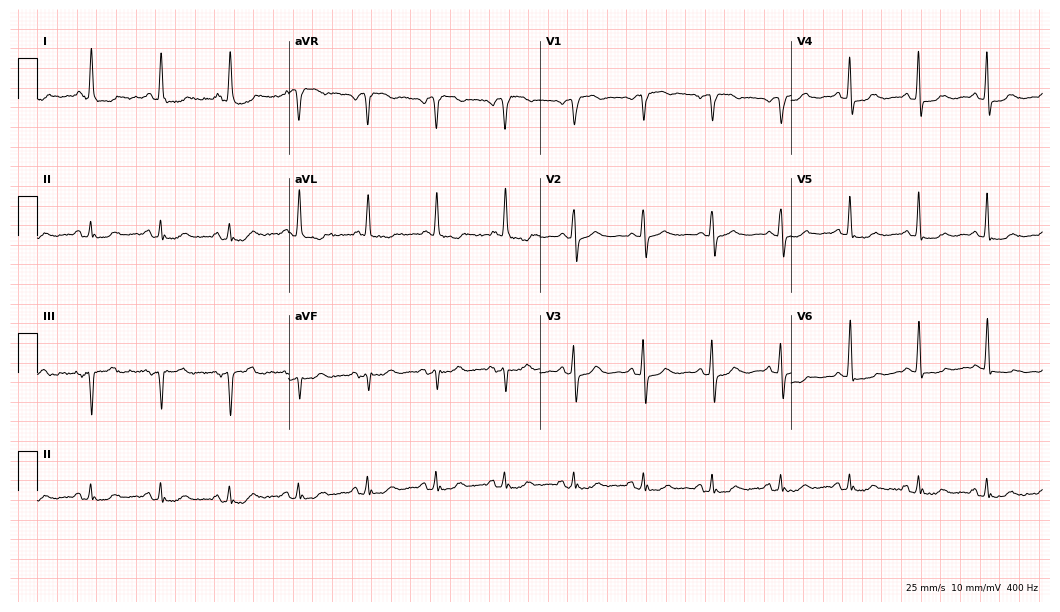
12-lead ECG (10.2-second recording at 400 Hz) from a 77-year-old woman. Screened for six findings — first-degree AV block, right bundle branch block, left bundle branch block, sinus bradycardia, atrial fibrillation, sinus tachycardia — none is recorded.